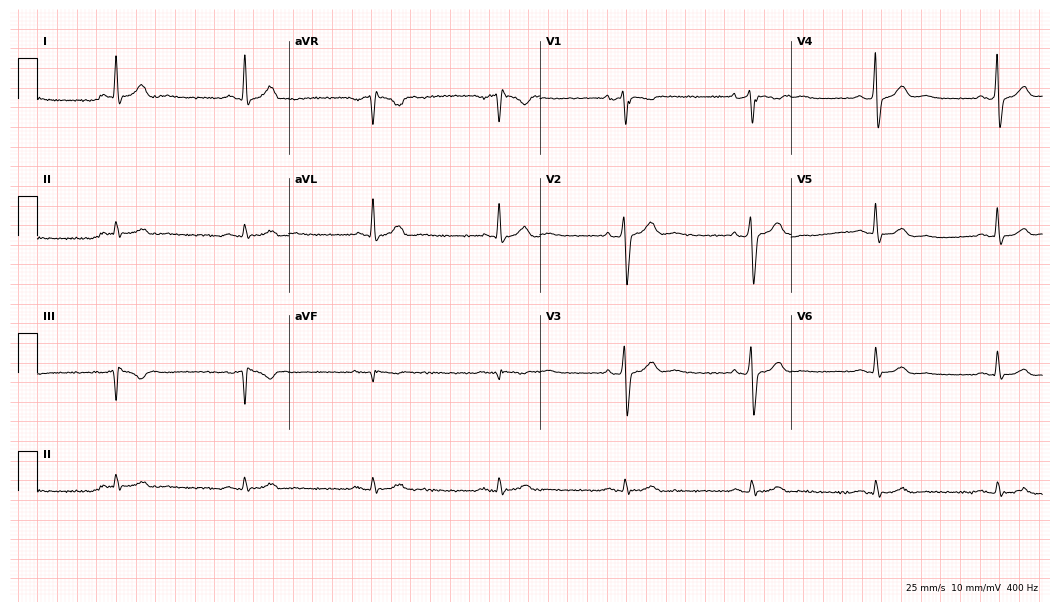
Resting 12-lead electrocardiogram (10.2-second recording at 400 Hz). Patient: a 54-year-old male. None of these six findings is recorded: first-degree AV block, right bundle branch block, left bundle branch block, sinus bradycardia, atrial fibrillation, sinus tachycardia.